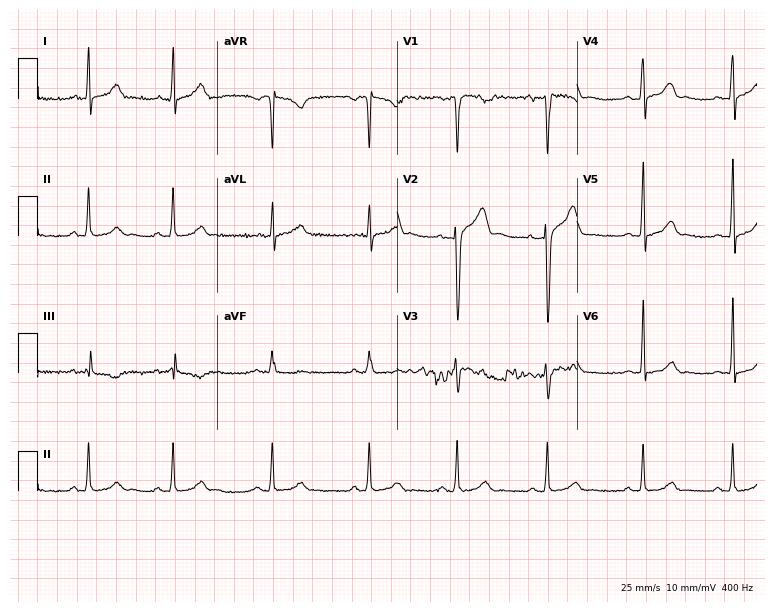
Electrocardiogram (7.3-second recording at 400 Hz), a 31-year-old man. Overall reading on record: normal ECG.